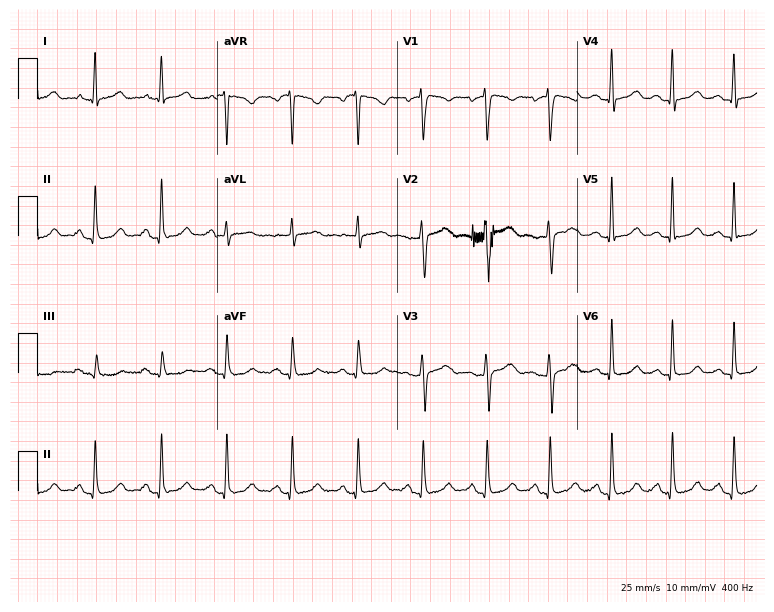
Electrocardiogram (7.3-second recording at 400 Hz), a 45-year-old male patient. Overall reading on record: normal ECG.